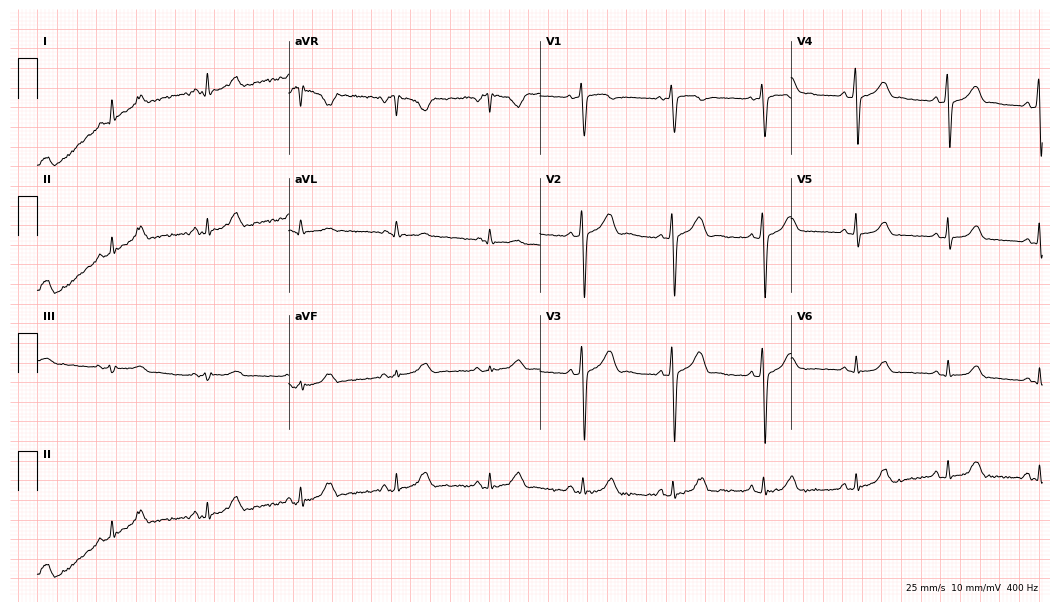
12-lead ECG (10.2-second recording at 400 Hz) from a 26-year-old female. Labelled as a normal ECG.